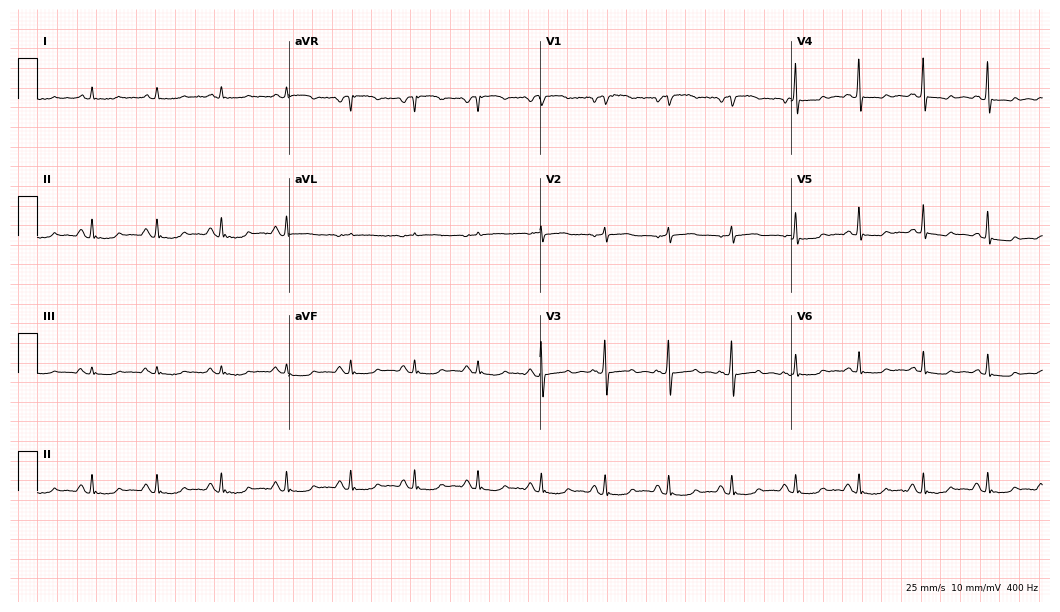
Resting 12-lead electrocardiogram (10.2-second recording at 400 Hz). Patient: a male, 72 years old. Read as a normal ECG.